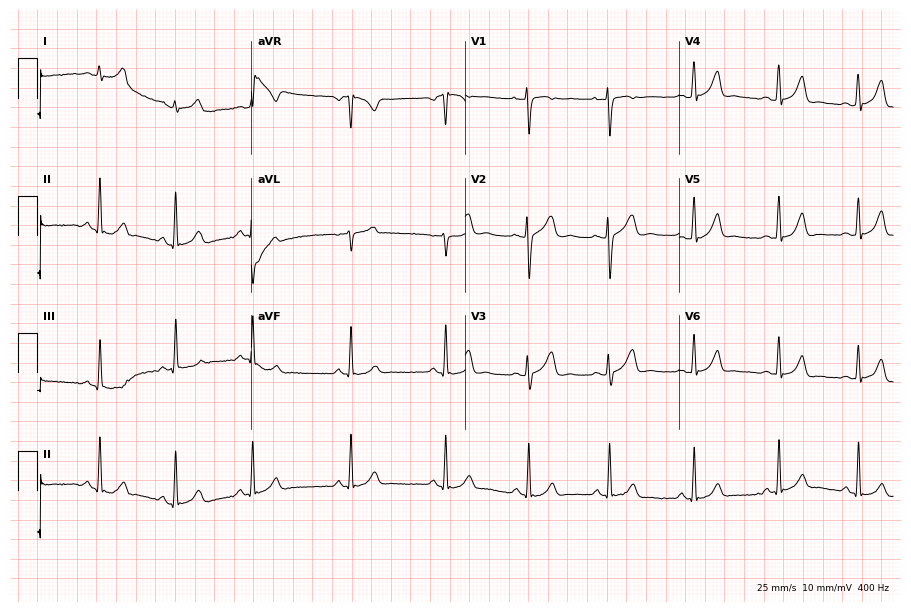
12-lead ECG (8.7-second recording at 400 Hz) from a 19-year-old female patient. Labelled as a normal ECG.